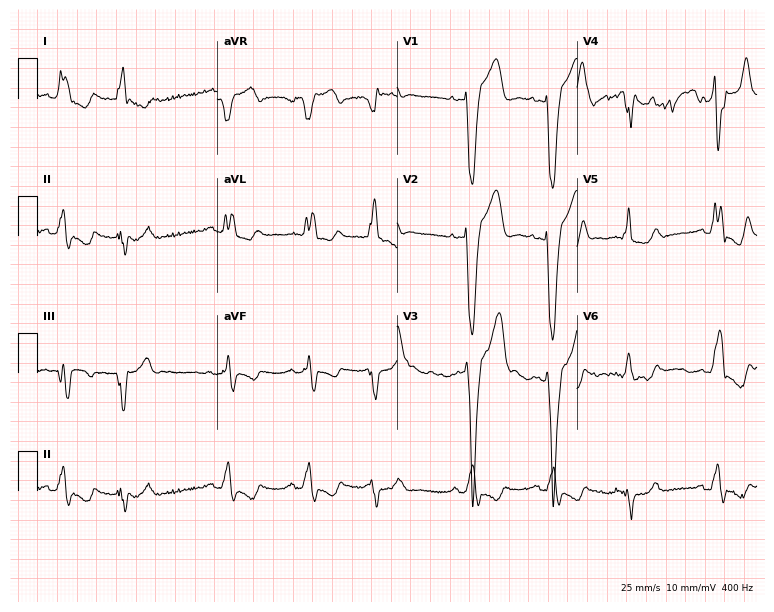
12-lead ECG from an 83-year-old male patient. Screened for six findings — first-degree AV block, right bundle branch block, left bundle branch block, sinus bradycardia, atrial fibrillation, sinus tachycardia — none is recorded.